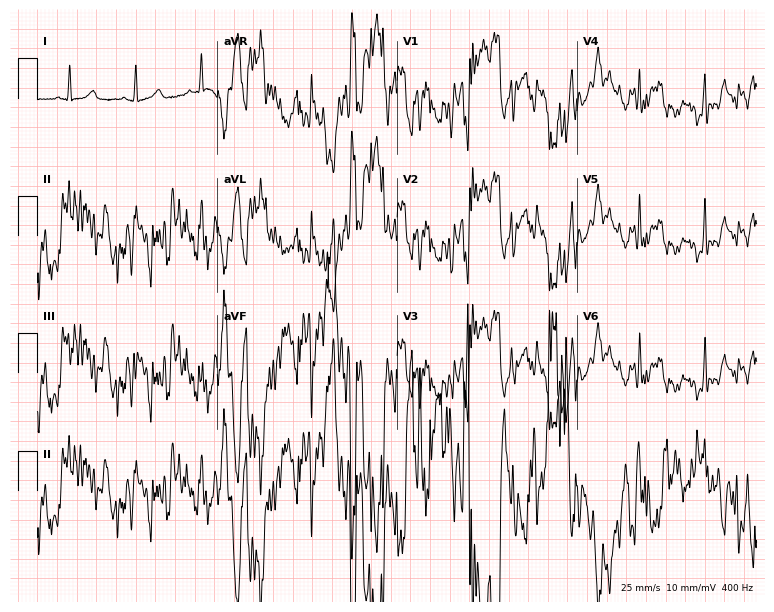
Standard 12-lead ECG recorded from a female patient, 21 years old. None of these six findings is recorded: first-degree AV block, right bundle branch block (RBBB), left bundle branch block (LBBB), sinus bradycardia, atrial fibrillation (AF), sinus tachycardia.